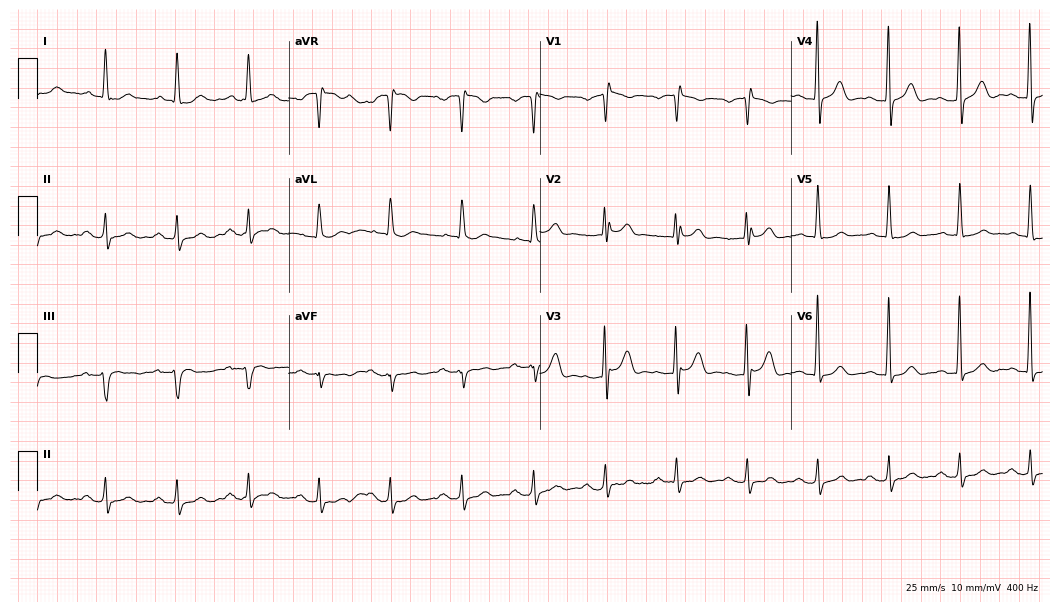
Resting 12-lead electrocardiogram. Patient: a 73-year-old male. None of these six findings is recorded: first-degree AV block, right bundle branch block, left bundle branch block, sinus bradycardia, atrial fibrillation, sinus tachycardia. Findings outside these six are not listed.